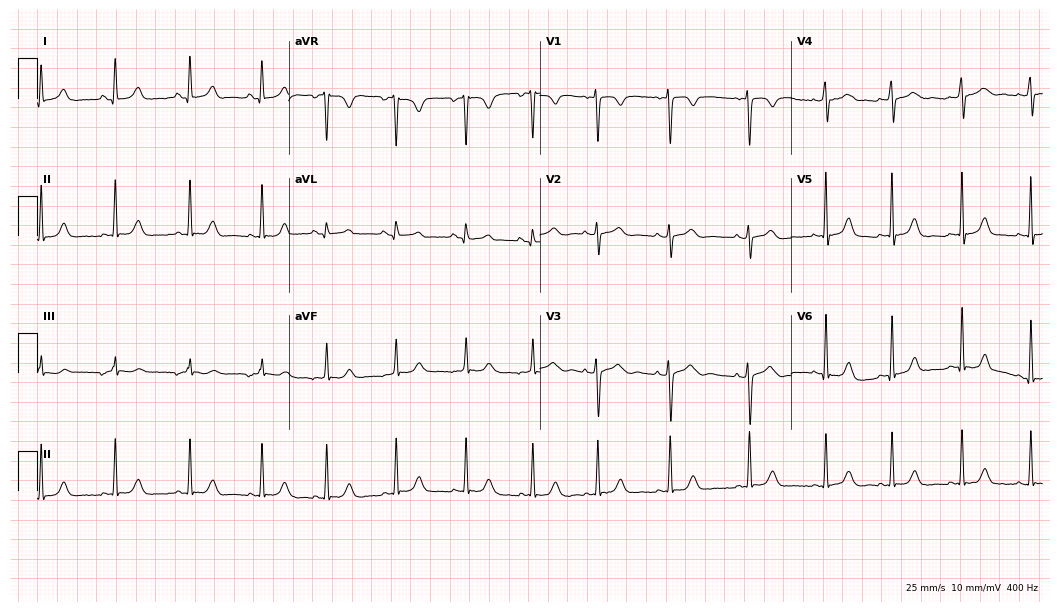
Electrocardiogram (10.2-second recording at 400 Hz), a 17-year-old female patient. Overall reading on record: normal ECG.